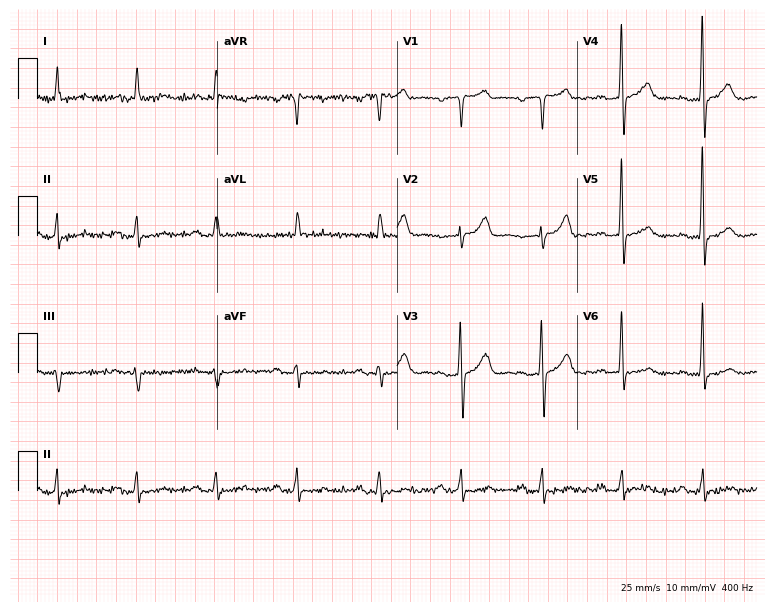
Electrocardiogram, an 82-year-old male patient. Of the six screened findings (first-degree AV block, right bundle branch block, left bundle branch block, sinus bradycardia, atrial fibrillation, sinus tachycardia), none is recorded. Only these six findings were labelled.